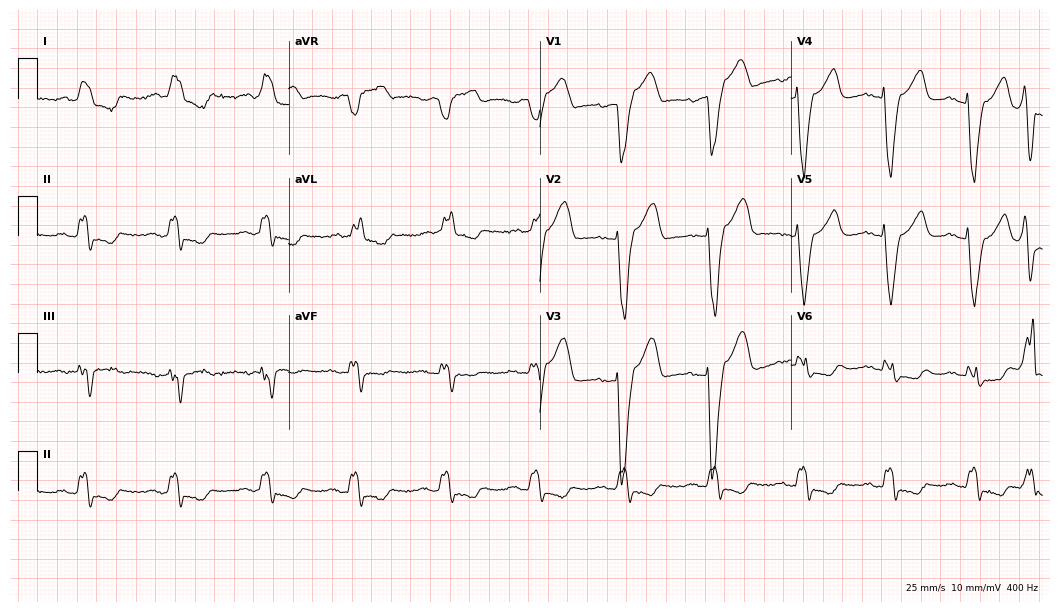
12-lead ECG (10.2-second recording at 400 Hz) from a 70-year-old woman. Screened for six findings — first-degree AV block, right bundle branch block, left bundle branch block, sinus bradycardia, atrial fibrillation, sinus tachycardia — none is recorded.